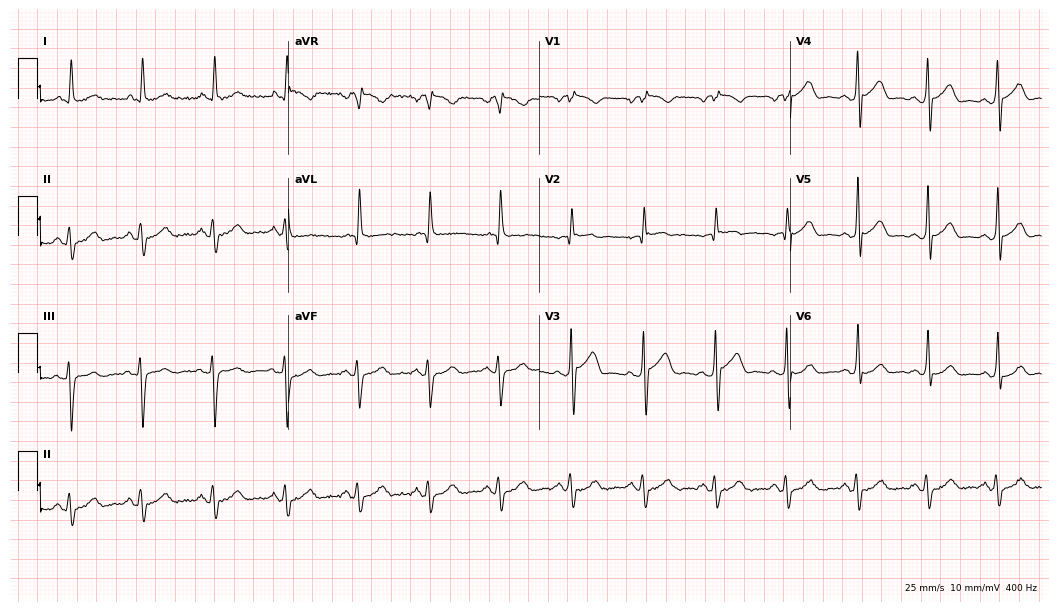
12-lead ECG from a male patient, 61 years old. Recorded interpretation: within normal limits.